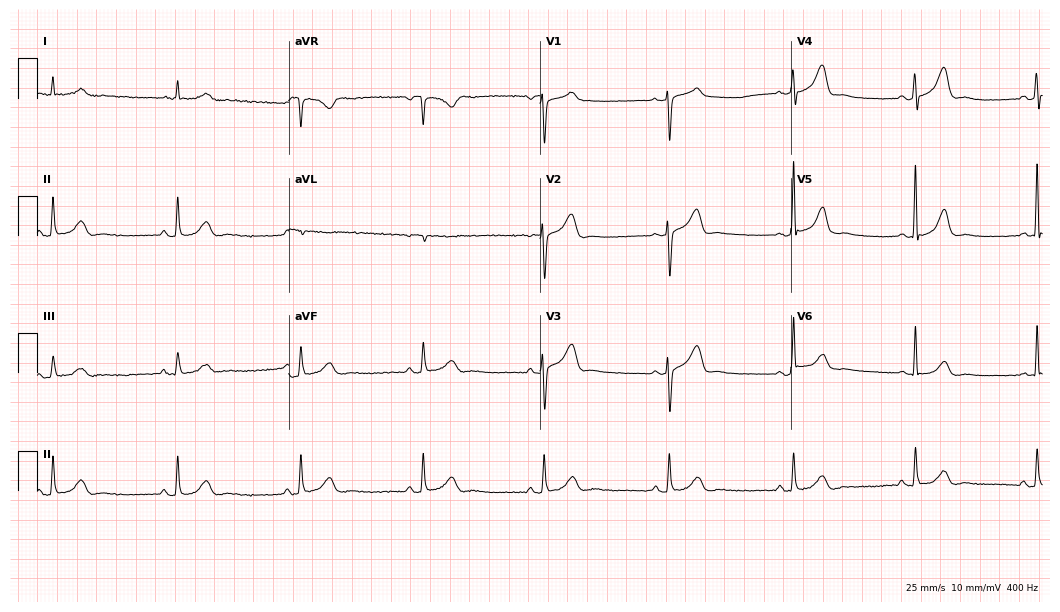
12-lead ECG (10.2-second recording at 400 Hz) from a female, 60 years old. Findings include sinus bradycardia (a sinus rate of 50 beats per minute or less).